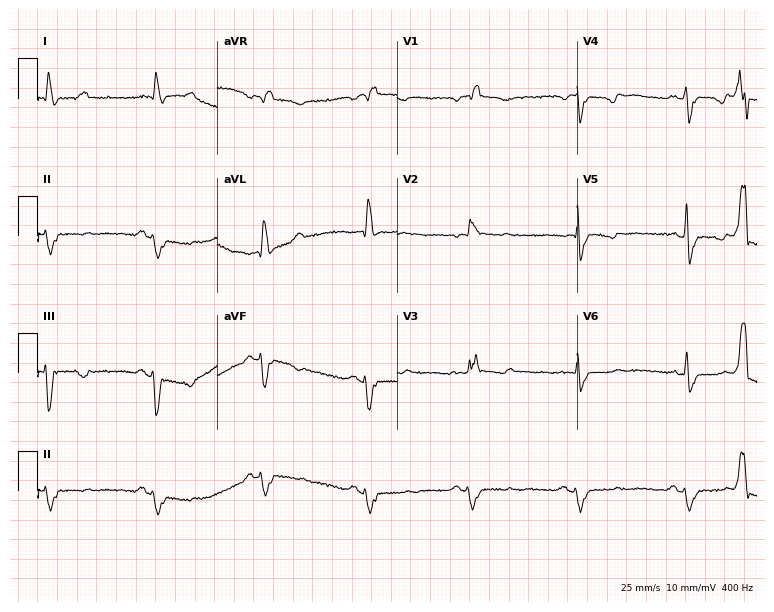
12-lead ECG from an 82-year-old female patient (7.3-second recording at 400 Hz). Shows right bundle branch block, left bundle branch block.